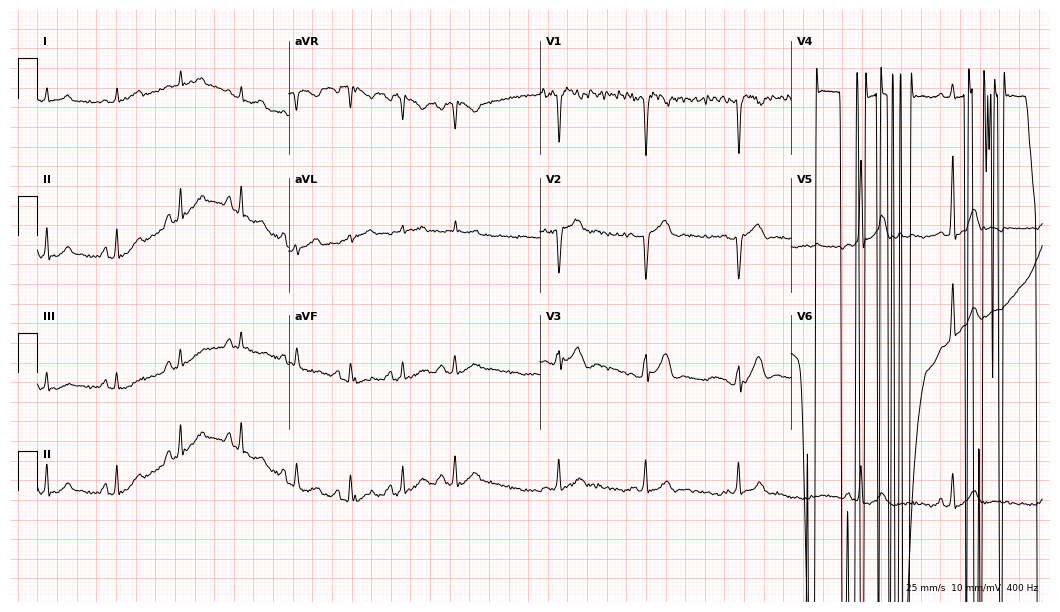
Standard 12-lead ECG recorded from a 22-year-old male patient (10.2-second recording at 400 Hz). None of these six findings is recorded: first-degree AV block, right bundle branch block, left bundle branch block, sinus bradycardia, atrial fibrillation, sinus tachycardia. Findings outside these six are not listed.